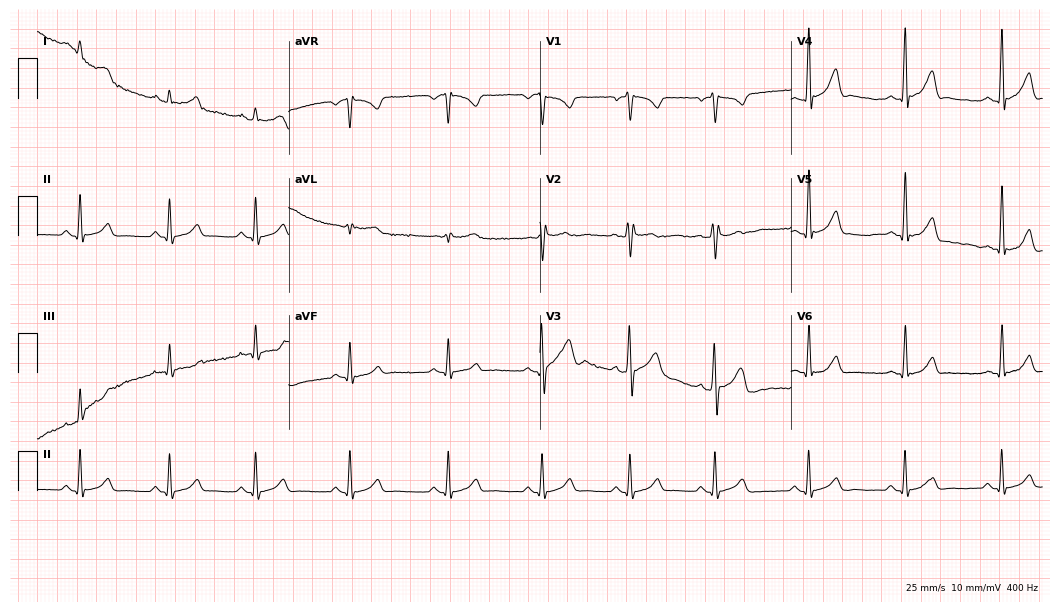
ECG (10.2-second recording at 400 Hz) — a man, 22 years old. Screened for six findings — first-degree AV block, right bundle branch block (RBBB), left bundle branch block (LBBB), sinus bradycardia, atrial fibrillation (AF), sinus tachycardia — none is recorded.